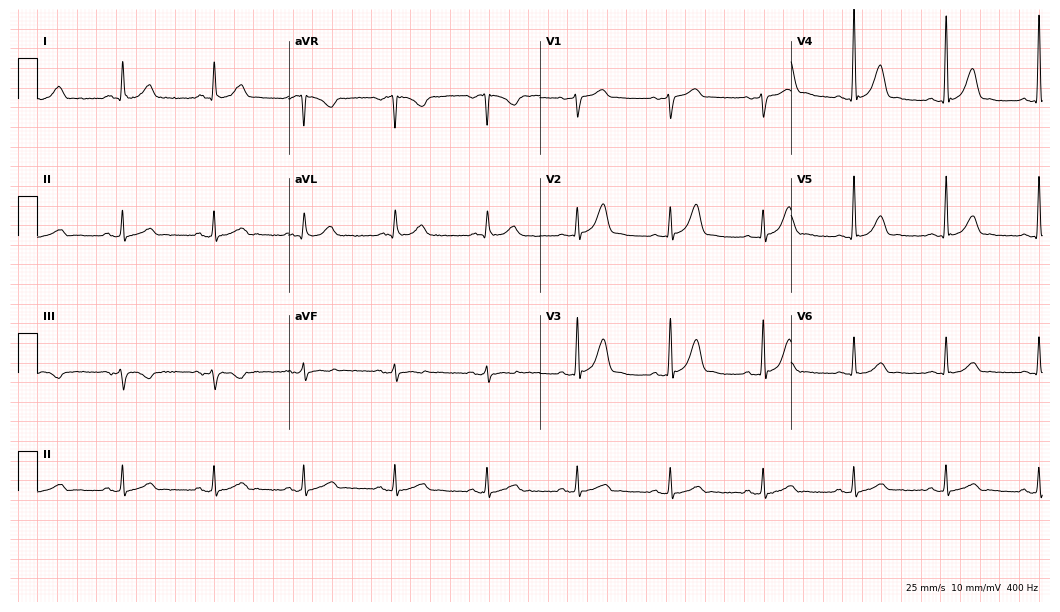
Resting 12-lead electrocardiogram. Patient: a male, 79 years old. Read as a normal ECG.